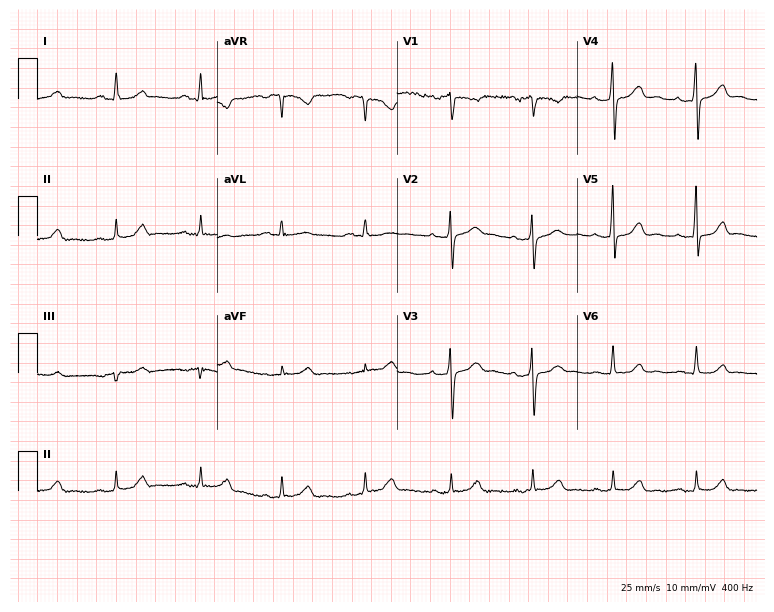
Electrocardiogram, a female patient, 41 years old. Overall reading on record: normal ECG.